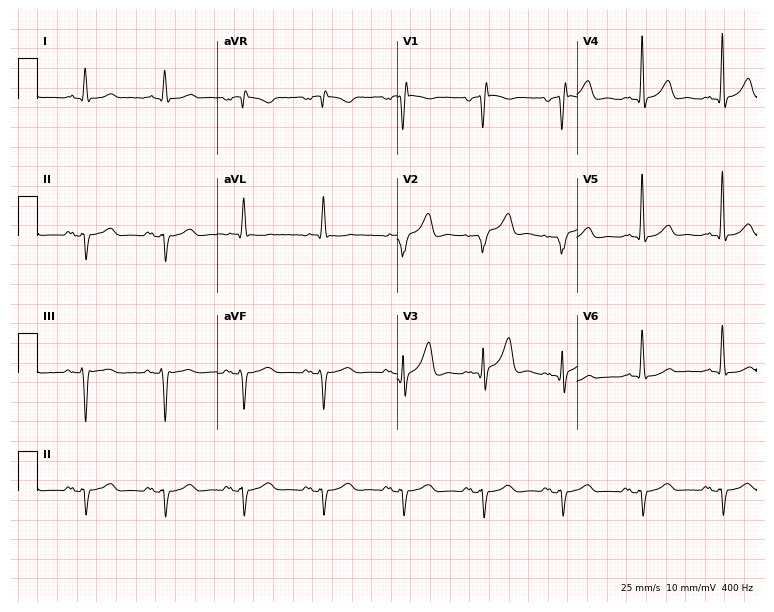
12-lead ECG from a 54-year-old male. Screened for six findings — first-degree AV block, right bundle branch block (RBBB), left bundle branch block (LBBB), sinus bradycardia, atrial fibrillation (AF), sinus tachycardia — none is recorded. Findings outside these six are not listed.